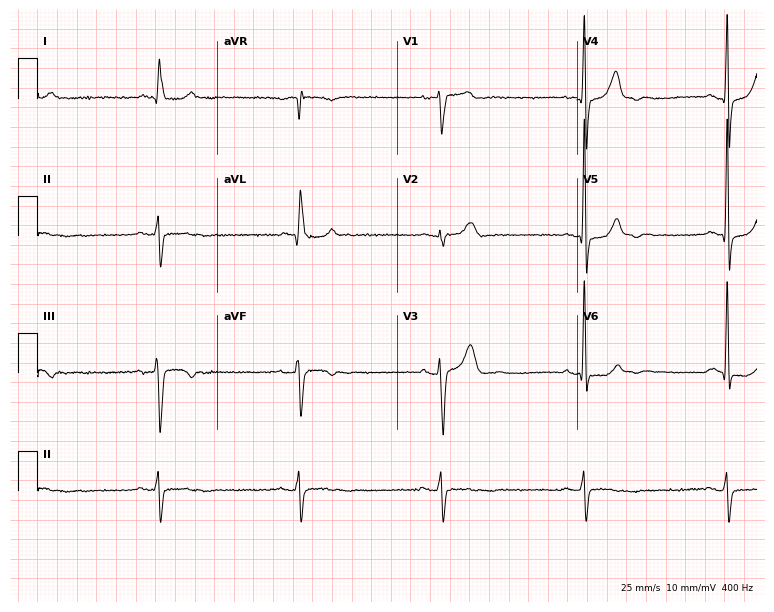
Standard 12-lead ECG recorded from a male patient, 79 years old (7.3-second recording at 400 Hz). The tracing shows sinus bradycardia (a sinus rate of 50 beats per minute or less).